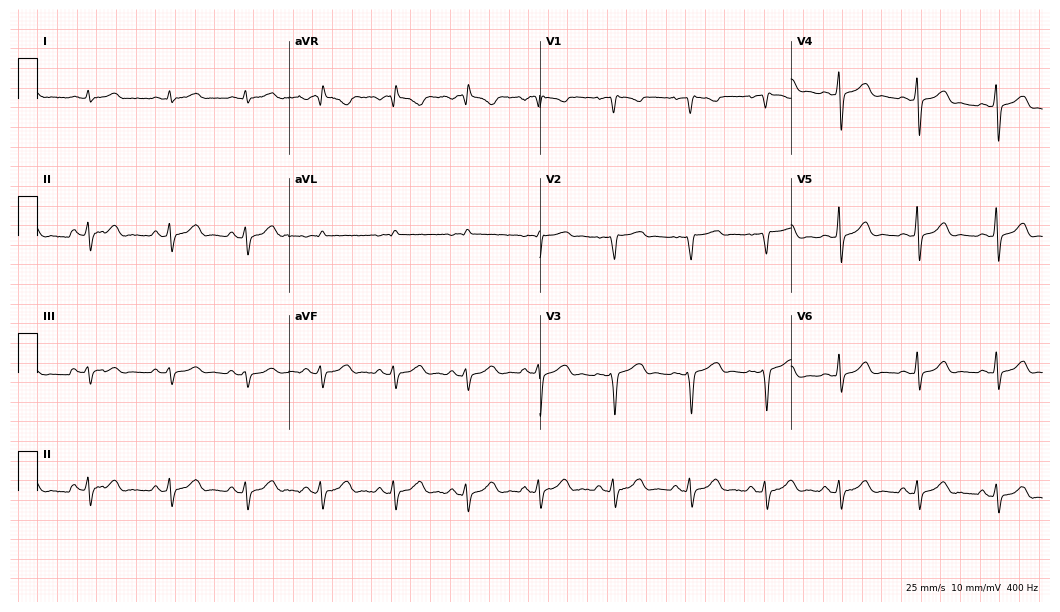
ECG — a woman, 34 years old. Screened for six findings — first-degree AV block, right bundle branch block, left bundle branch block, sinus bradycardia, atrial fibrillation, sinus tachycardia — none is recorded.